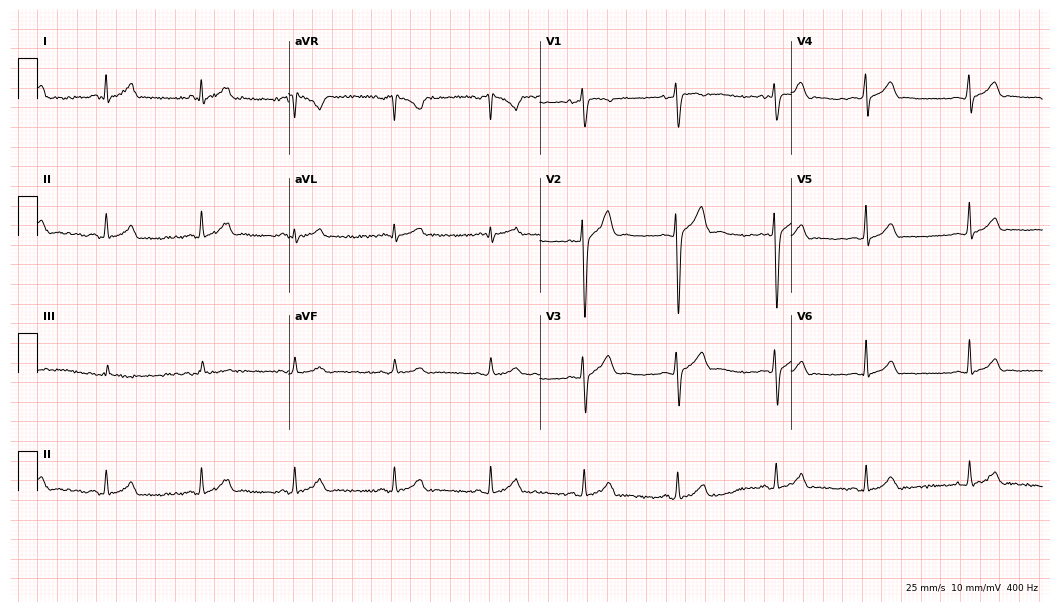
Electrocardiogram, a male, 23 years old. Overall reading on record: normal ECG.